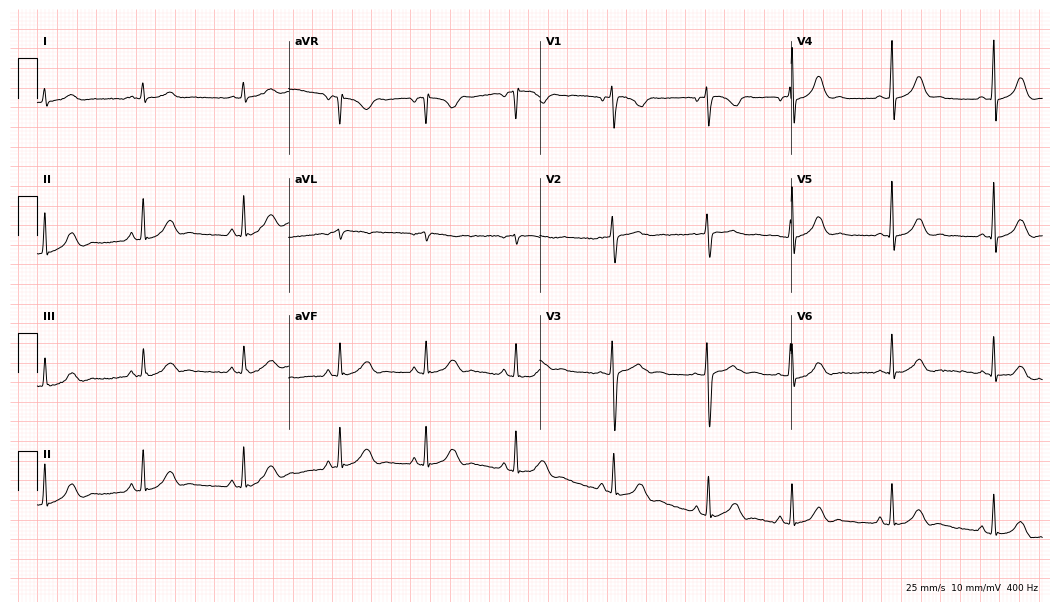
12-lead ECG from a woman, 26 years old (10.2-second recording at 400 Hz). Recorded interpretation: within normal limits.